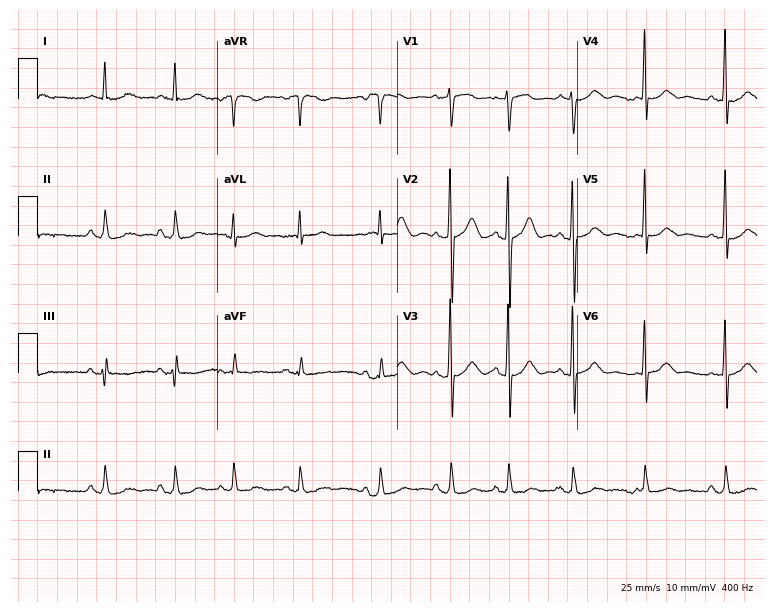
ECG — a 76-year-old male patient. Screened for six findings — first-degree AV block, right bundle branch block (RBBB), left bundle branch block (LBBB), sinus bradycardia, atrial fibrillation (AF), sinus tachycardia — none is recorded. Other findings, if any, are not listed.